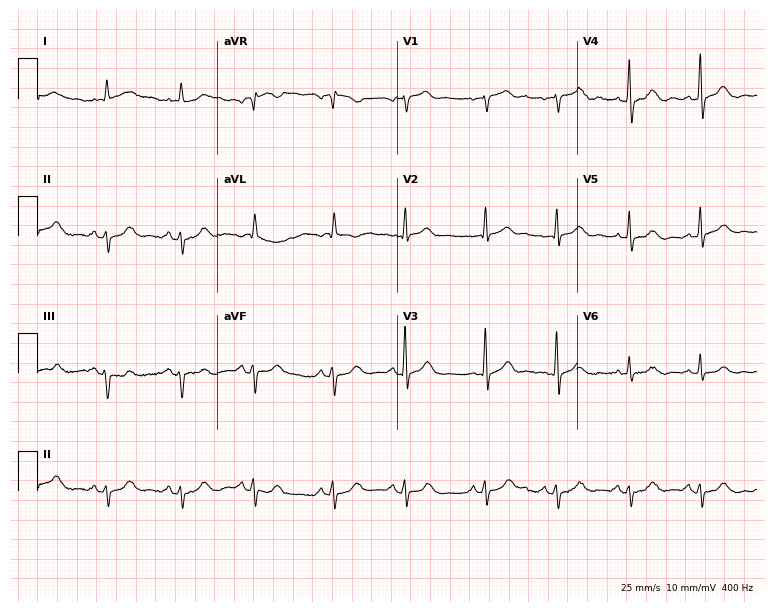
ECG (7.3-second recording at 400 Hz) — a male patient, 82 years old. Screened for six findings — first-degree AV block, right bundle branch block (RBBB), left bundle branch block (LBBB), sinus bradycardia, atrial fibrillation (AF), sinus tachycardia — none is recorded. Only these six findings were labelled.